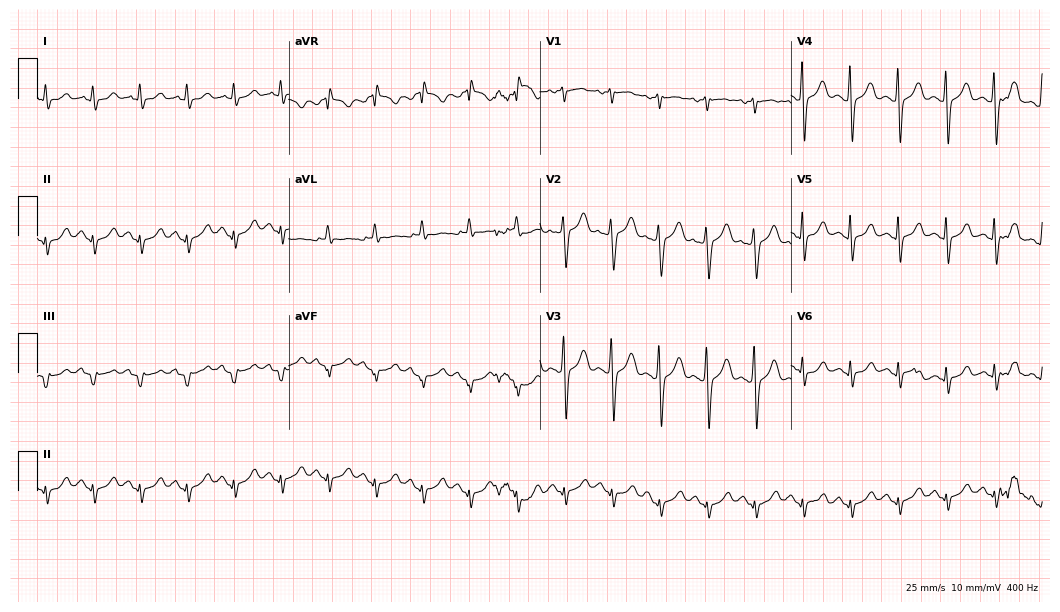
Standard 12-lead ECG recorded from a male, 52 years old. The tracing shows sinus tachycardia (a sinus rate of 100 beats per minute or more).